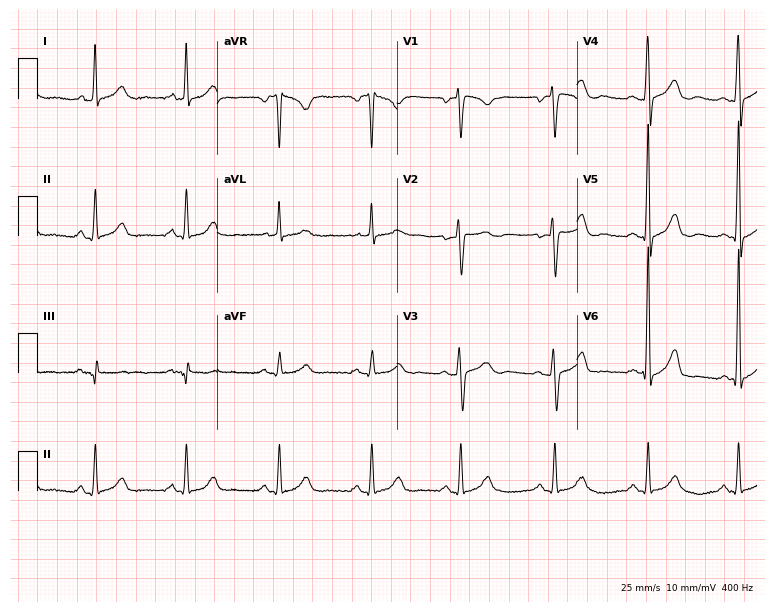
Resting 12-lead electrocardiogram (7.3-second recording at 400 Hz). Patient: a female, 23 years old. Read as a normal ECG.